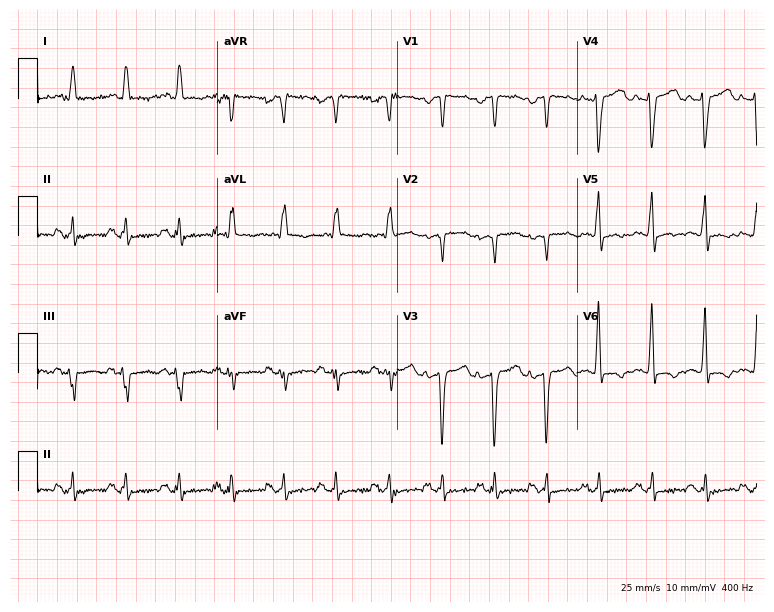
Resting 12-lead electrocardiogram. Patient: a 44-year-old female. None of these six findings is recorded: first-degree AV block, right bundle branch block, left bundle branch block, sinus bradycardia, atrial fibrillation, sinus tachycardia.